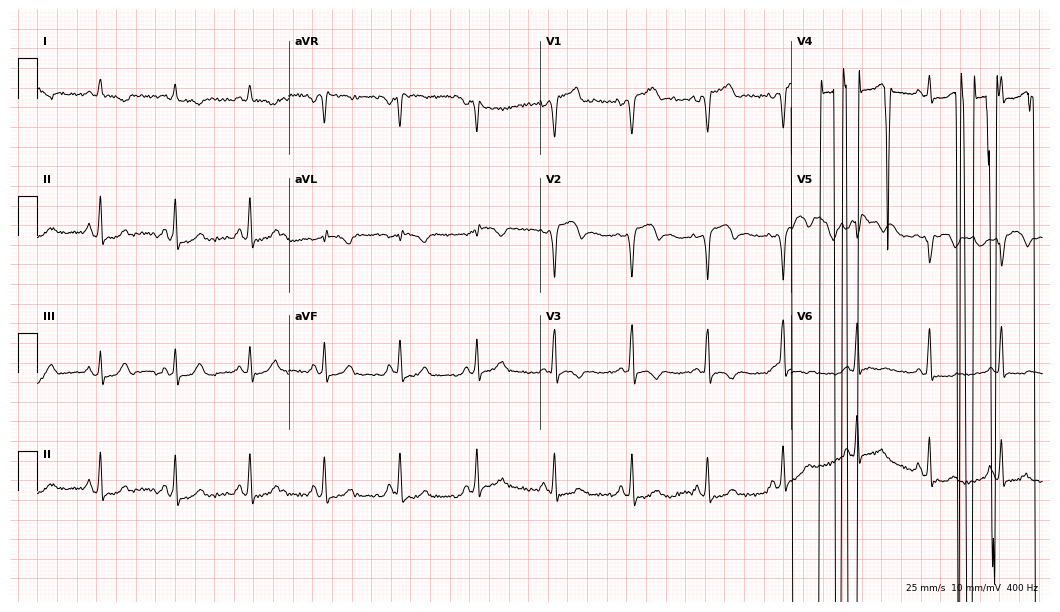
Standard 12-lead ECG recorded from a male, 58 years old (10.2-second recording at 400 Hz). None of these six findings is recorded: first-degree AV block, right bundle branch block, left bundle branch block, sinus bradycardia, atrial fibrillation, sinus tachycardia. Only these six findings were labelled.